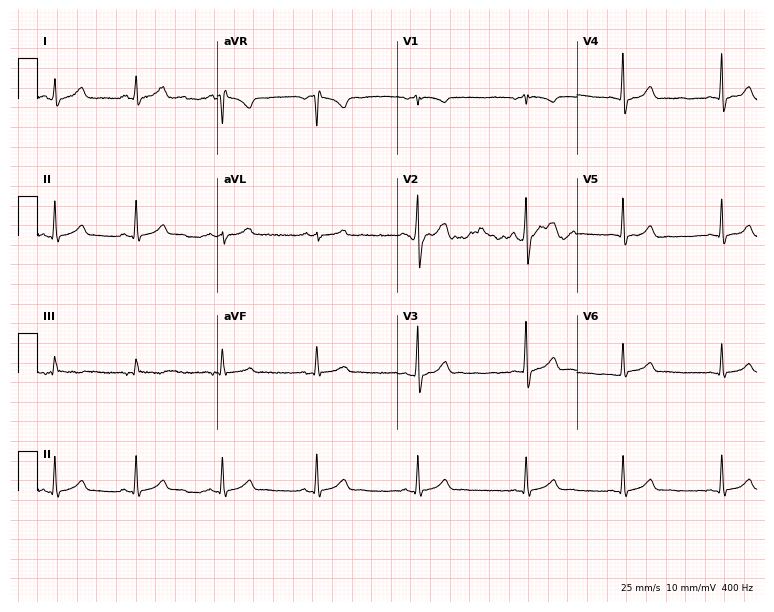
Electrocardiogram (7.3-second recording at 400 Hz), a female, 23 years old. Overall reading on record: normal ECG.